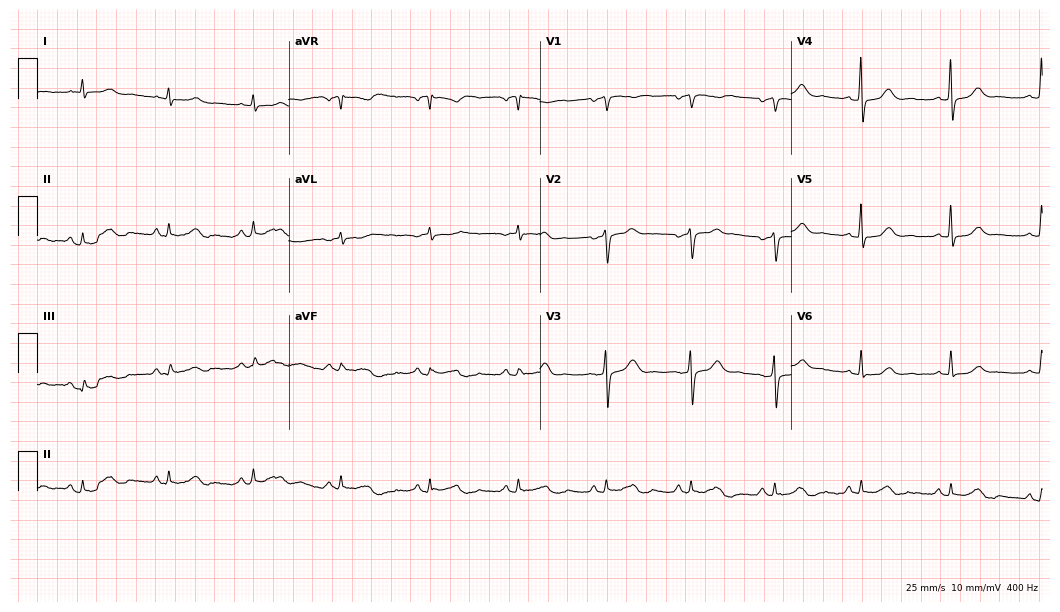
Resting 12-lead electrocardiogram. Patient: a 63-year-old female. Read as a normal ECG.